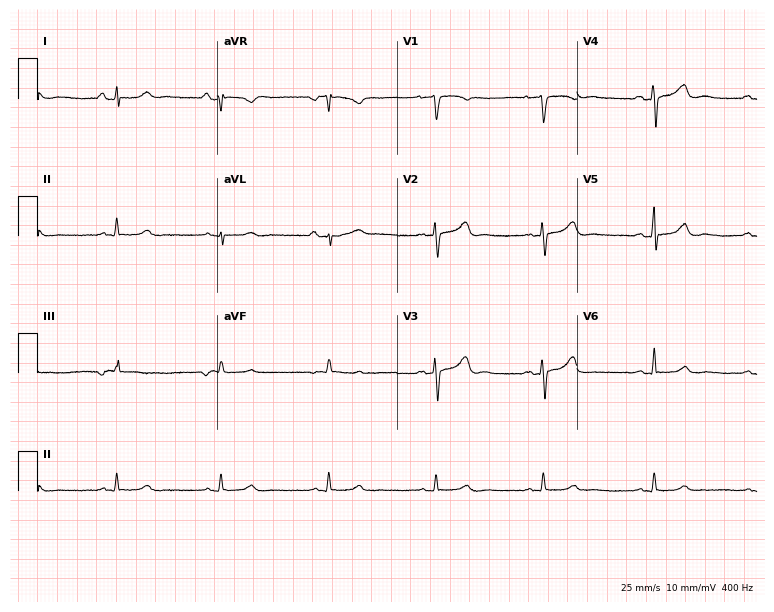
Standard 12-lead ECG recorded from a woman, 49 years old (7.3-second recording at 400 Hz). Read as a normal ECG.